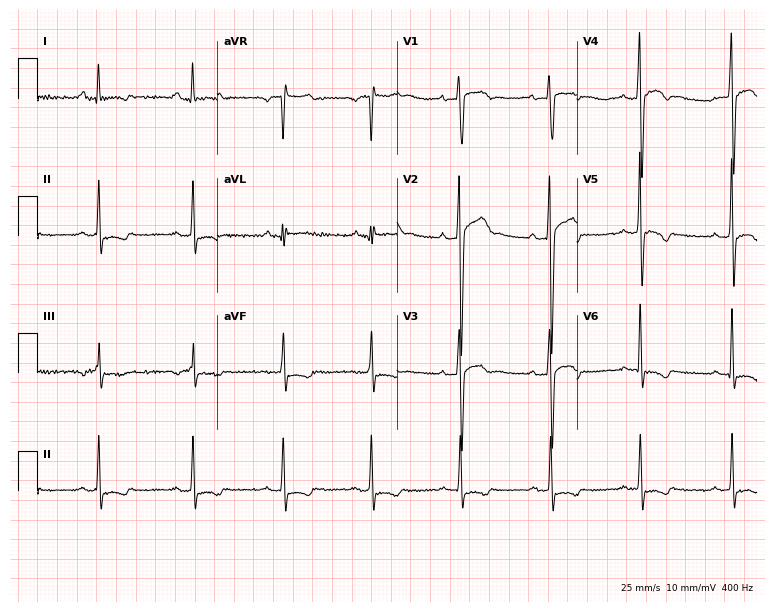
Resting 12-lead electrocardiogram. Patient: a 32-year-old male. None of these six findings is recorded: first-degree AV block, right bundle branch block (RBBB), left bundle branch block (LBBB), sinus bradycardia, atrial fibrillation (AF), sinus tachycardia. Only these six findings were labelled.